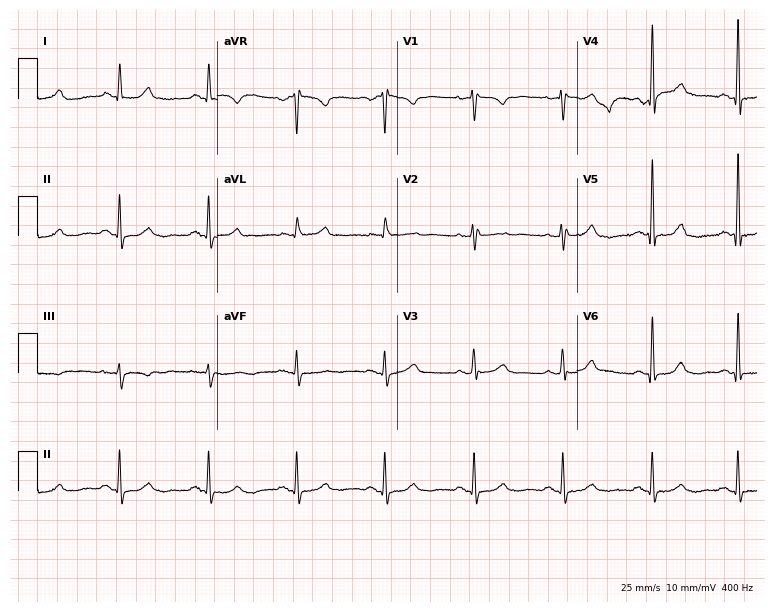
12-lead ECG from a 59-year-old woman. Screened for six findings — first-degree AV block, right bundle branch block, left bundle branch block, sinus bradycardia, atrial fibrillation, sinus tachycardia — none is recorded.